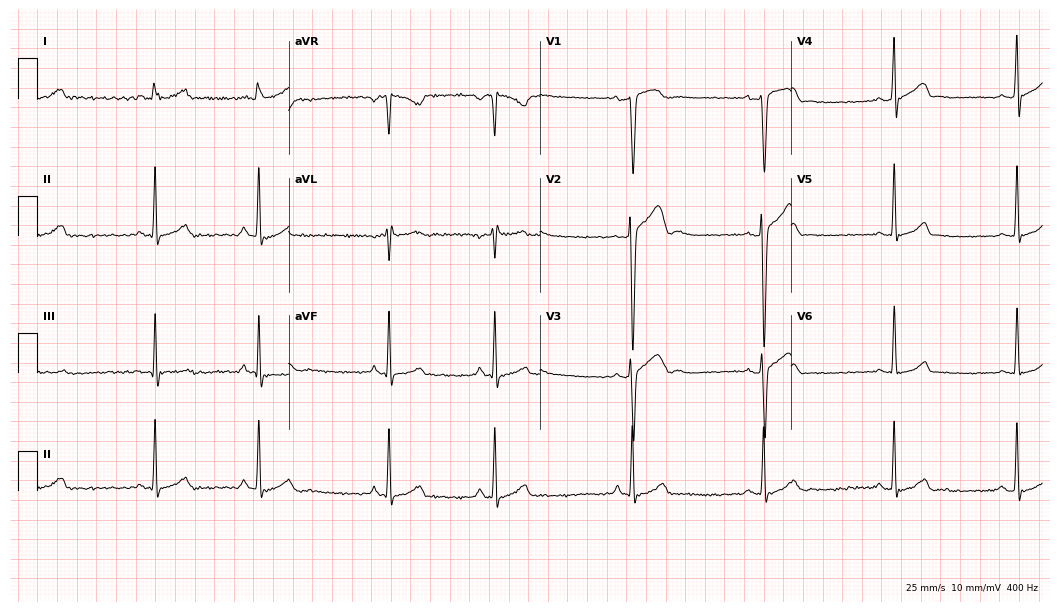
Electrocardiogram, a male patient, 28 years old. Of the six screened findings (first-degree AV block, right bundle branch block, left bundle branch block, sinus bradycardia, atrial fibrillation, sinus tachycardia), none is recorded. Other findings, if any, are not listed.